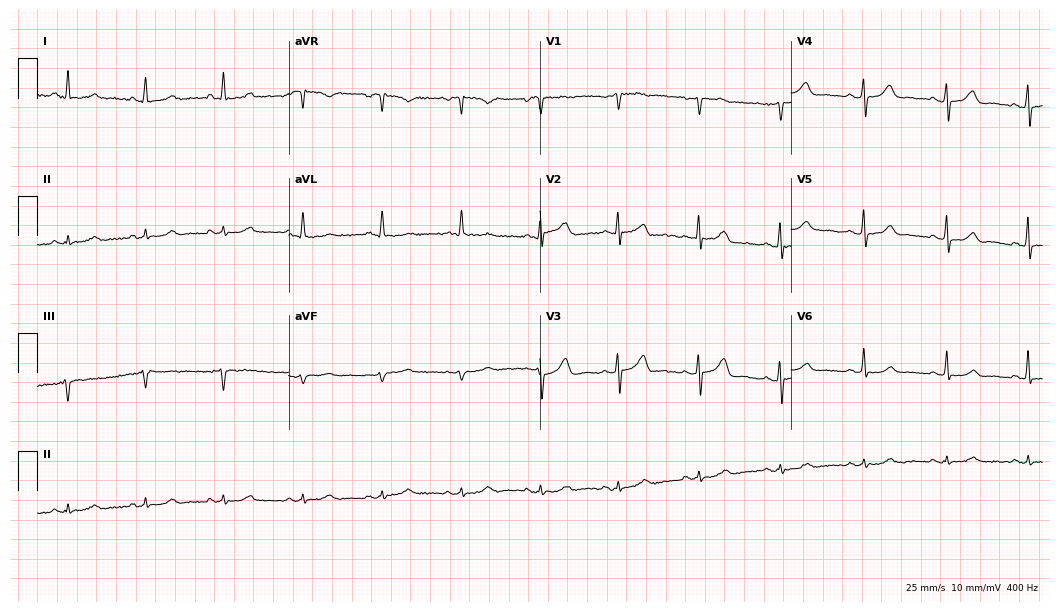
Standard 12-lead ECG recorded from a female patient, 62 years old. None of these six findings is recorded: first-degree AV block, right bundle branch block (RBBB), left bundle branch block (LBBB), sinus bradycardia, atrial fibrillation (AF), sinus tachycardia. Findings outside these six are not listed.